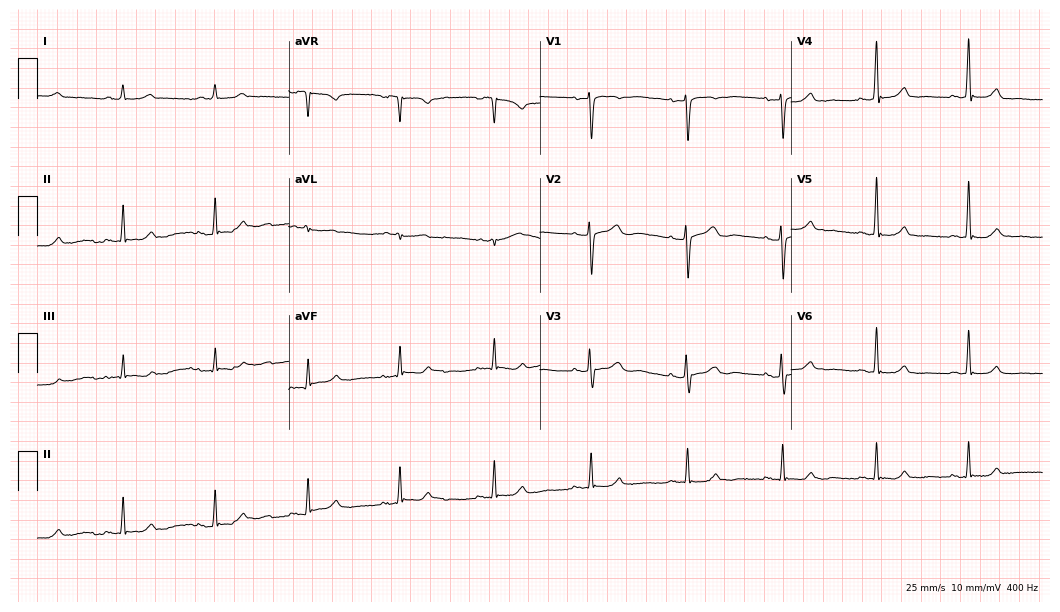
Electrocardiogram, a woman, 69 years old. Overall reading on record: normal ECG.